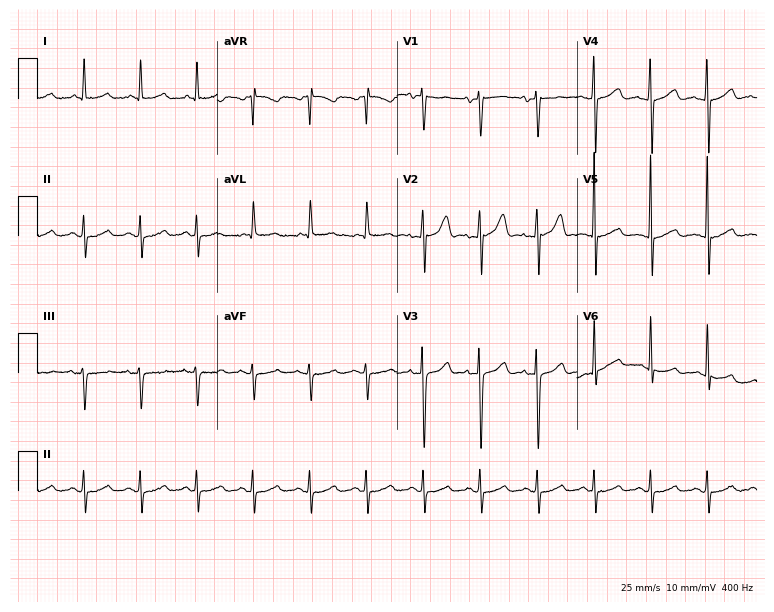
ECG — a female, 68 years old. Findings include sinus tachycardia (a sinus rate of 100 beats per minute or more).